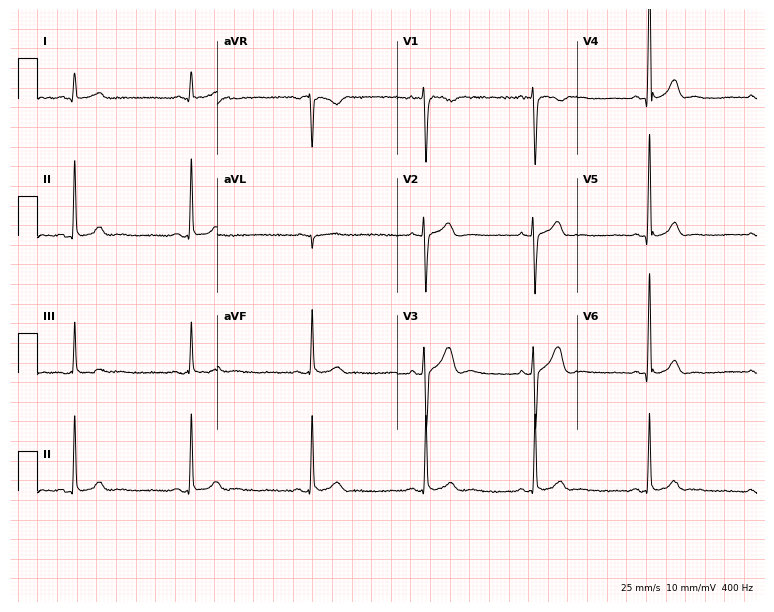
Resting 12-lead electrocardiogram (7.3-second recording at 400 Hz). Patient: a man, 30 years old. Read as a normal ECG.